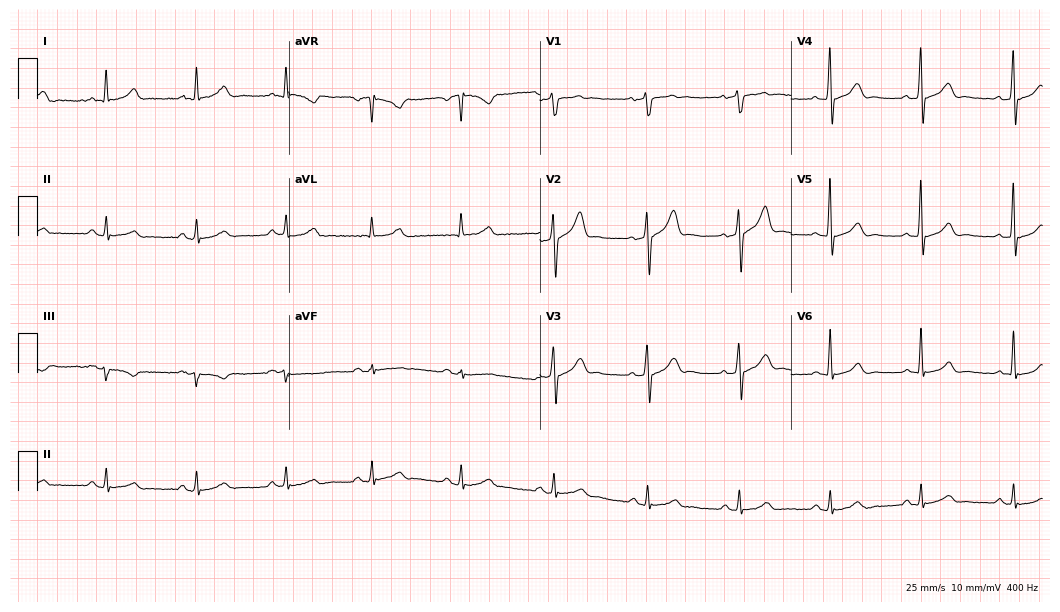
12-lead ECG (10.2-second recording at 400 Hz) from a 45-year-old male. Labelled as a normal ECG.